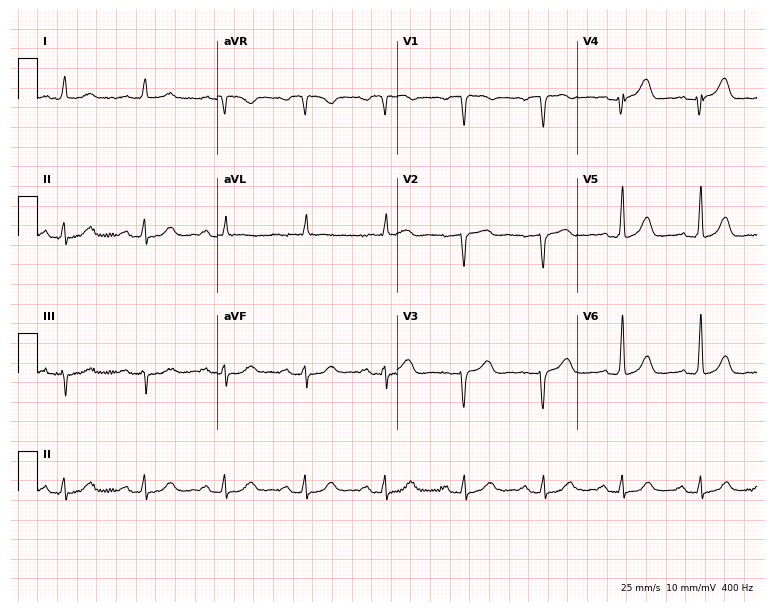
Standard 12-lead ECG recorded from an 81-year-old female patient (7.3-second recording at 400 Hz). None of these six findings is recorded: first-degree AV block, right bundle branch block, left bundle branch block, sinus bradycardia, atrial fibrillation, sinus tachycardia. Findings outside these six are not listed.